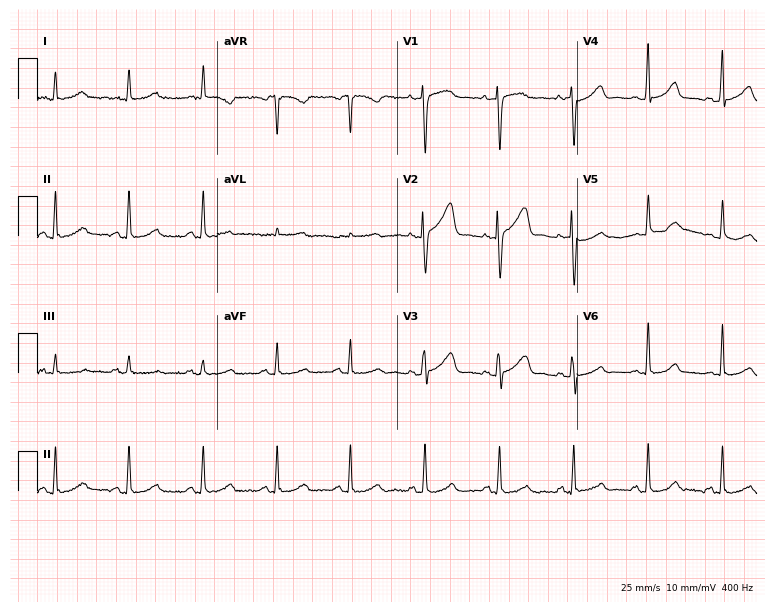
Standard 12-lead ECG recorded from a 69-year-old woman (7.3-second recording at 400 Hz). Read as a normal ECG.